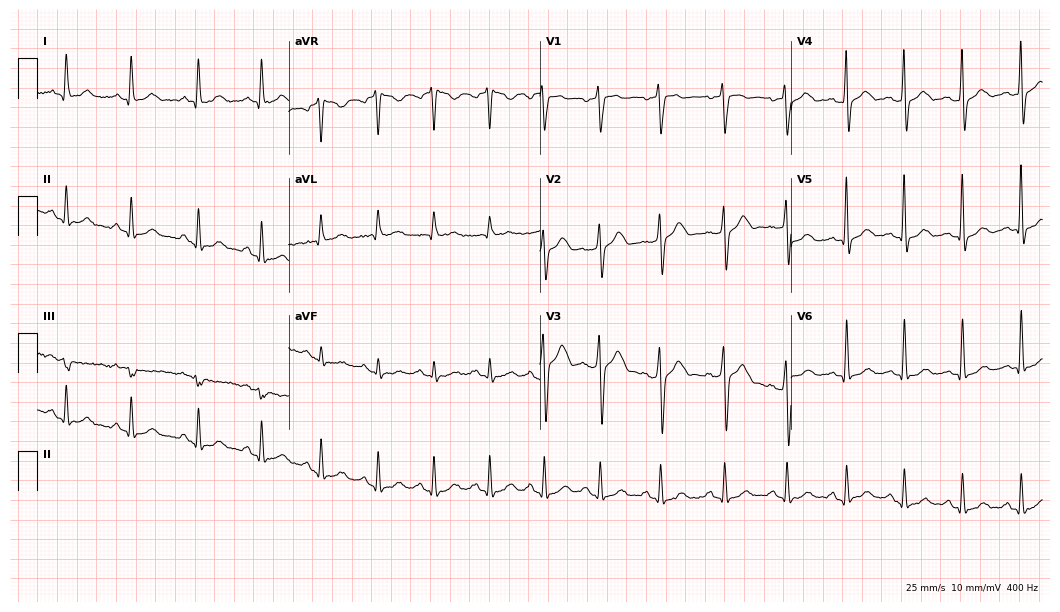
Resting 12-lead electrocardiogram (10.2-second recording at 400 Hz). Patient: a 35-year-old male. Read as a normal ECG.